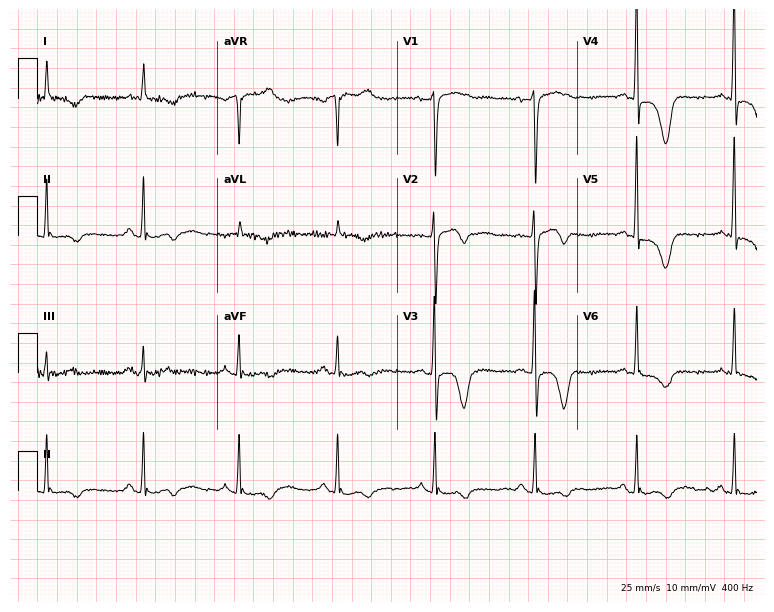
ECG — a female patient, 53 years old. Screened for six findings — first-degree AV block, right bundle branch block, left bundle branch block, sinus bradycardia, atrial fibrillation, sinus tachycardia — none is recorded.